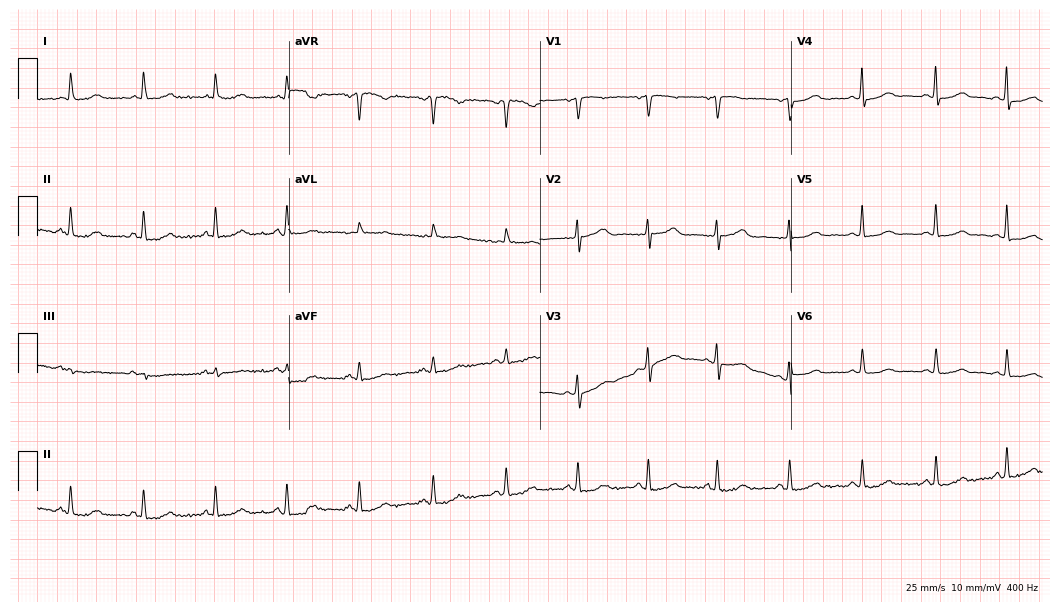
Electrocardiogram, a 71-year-old female. Of the six screened findings (first-degree AV block, right bundle branch block (RBBB), left bundle branch block (LBBB), sinus bradycardia, atrial fibrillation (AF), sinus tachycardia), none is recorded.